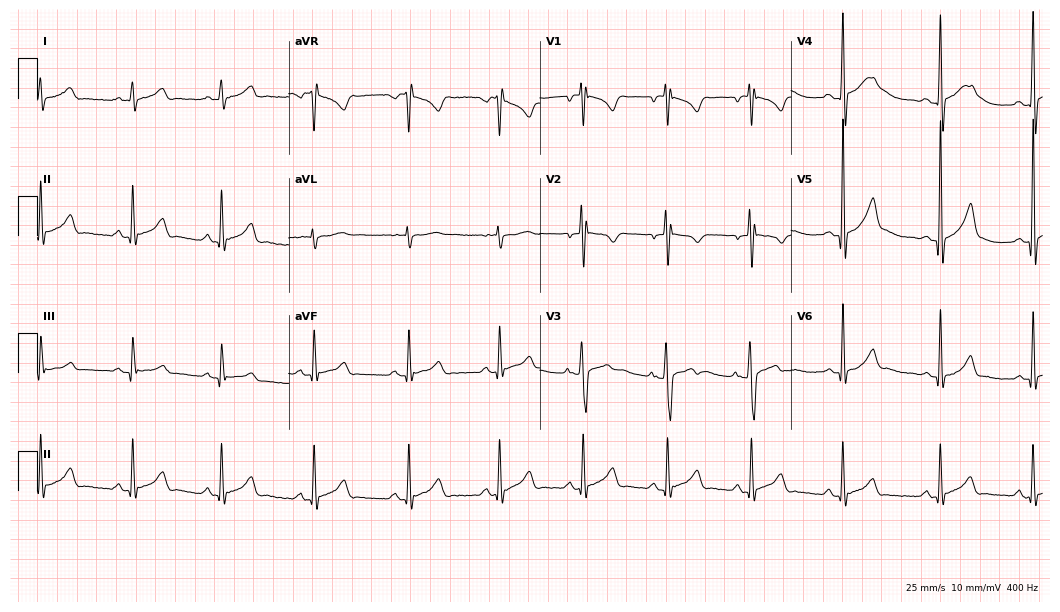
Resting 12-lead electrocardiogram (10.2-second recording at 400 Hz). Patient: a male, 17 years old. Read as a normal ECG.